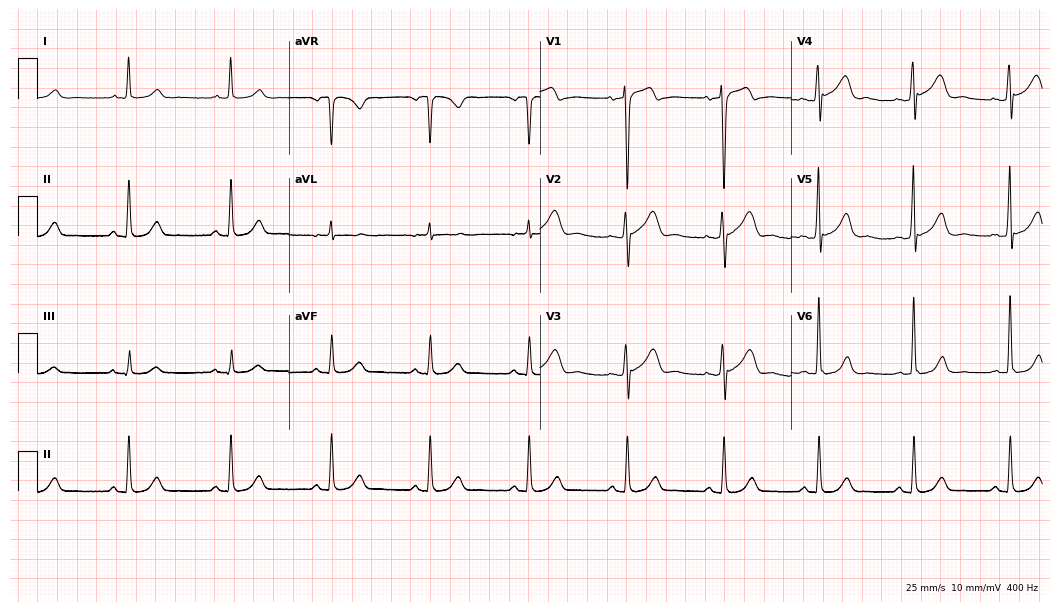
Resting 12-lead electrocardiogram (10.2-second recording at 400 Hz). Patient: a 52-year-old male. Read as a normal ECG.